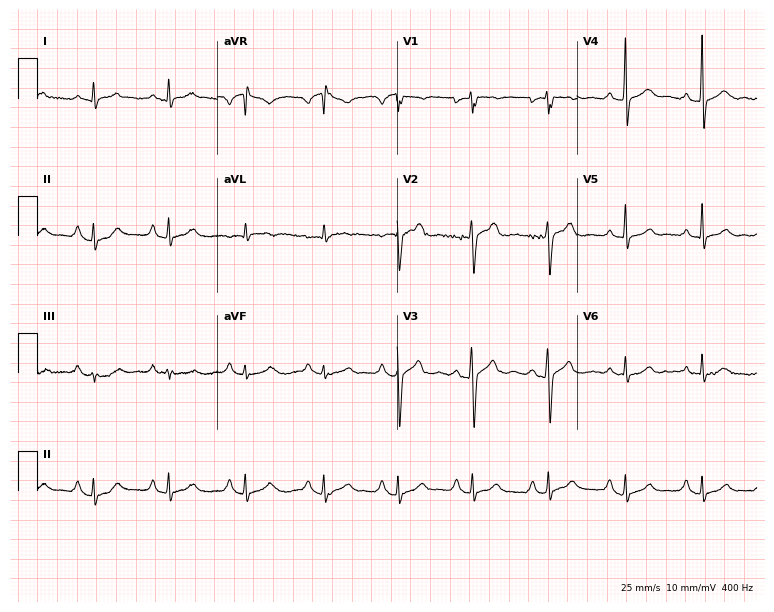
Electrocardiogram (7.3-second recording at 400 Hz), a 53-year-old male. Of the six screened findings (first-degree AV block, right bundle branch block (RBBB), left bundle branch block (LBBB), sinus bradycardia, atrial fibrillation (AF), sinus tachycardia), none is recorded.